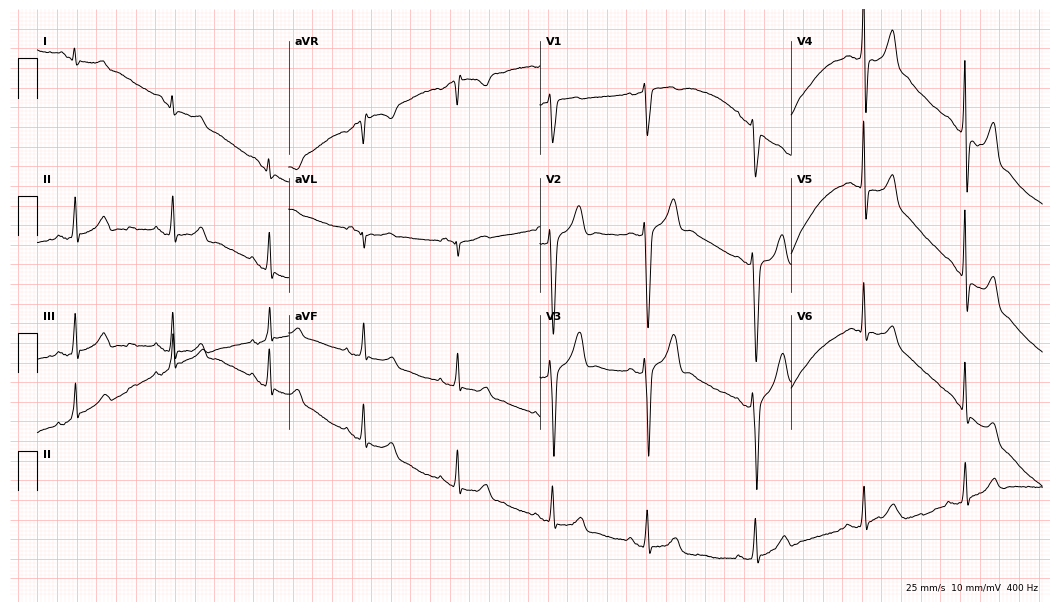
ECG — a male, 26 years old. Screened for six findings — first-degree AV block, right bundle branch block (RBBB), left bundle branch block (LBBB), sinus bradycardia, atrial fibrillation (AF), sinus tachycardia — none is recorded.